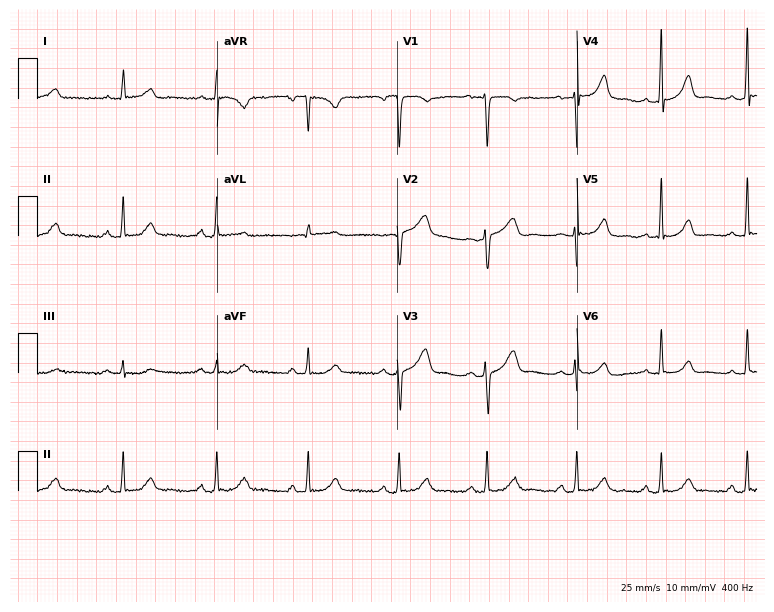
Standard 12-lead ECG recorded from a woman, 46 years old (7.3-second recording at 400 Hz). Read as a normal ECG.